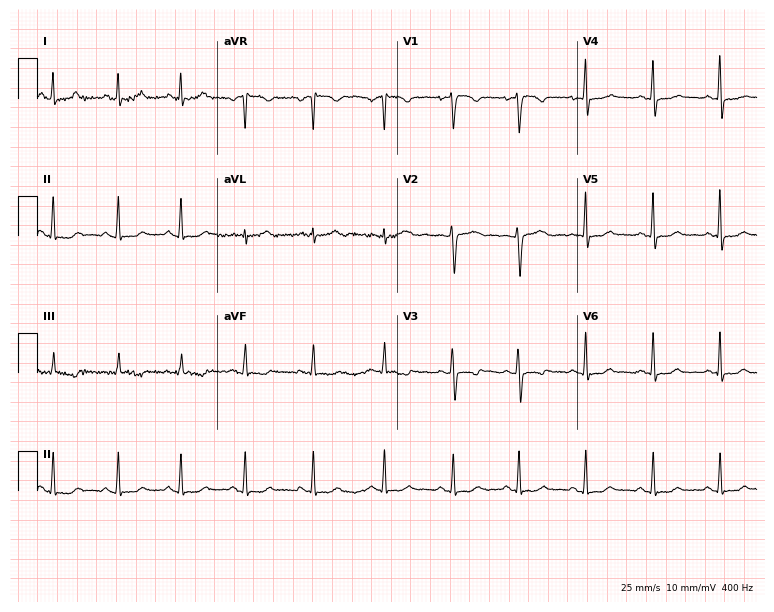
Standard 12-lead ECG recorded from a female patient, 31 years old. None of these six findings is recorded: first-degree AV block, right bundle branch block (RBBB), left bundle branch block (LBBB), sinus bradycardia, atrial fibrillation (AF), sinus tachycardia. Other findings, if any, are not listed.